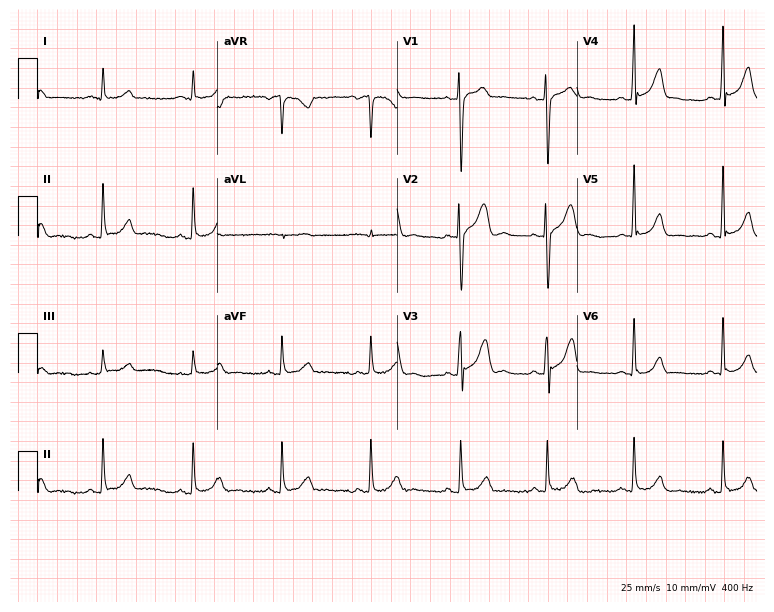
12-lead ECG from a 45-year-old male (7.3-second recording at 400 Hz). Recorded interpretation: within normal limits.